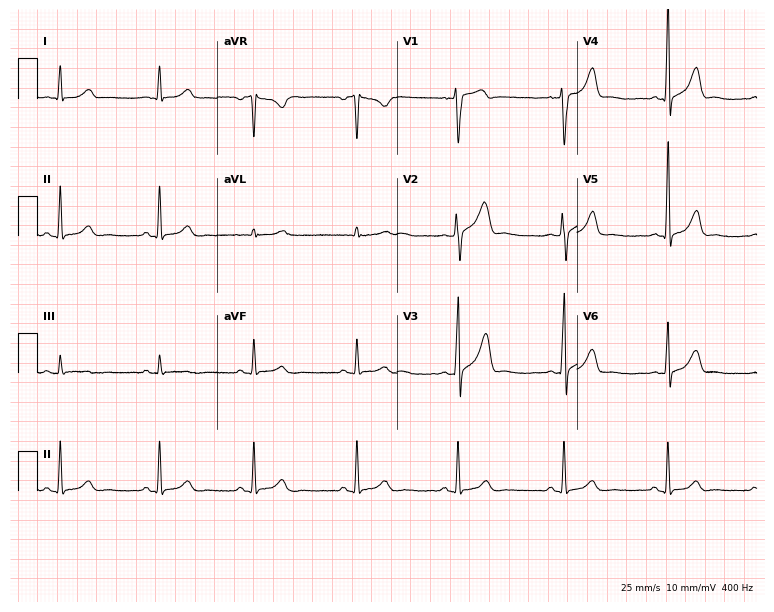
Electrocardiogram (7.3-second recording at 400 Hz), a 39-year-old male. Overall reading on record: normal ECG.